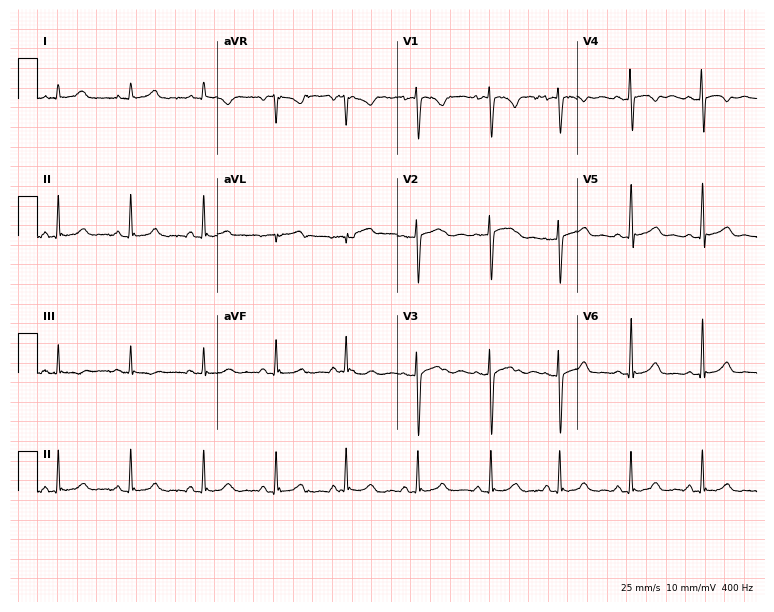
Electrocardiogram, an 18-year-old female patient. Overall reading on record: normal ECG.